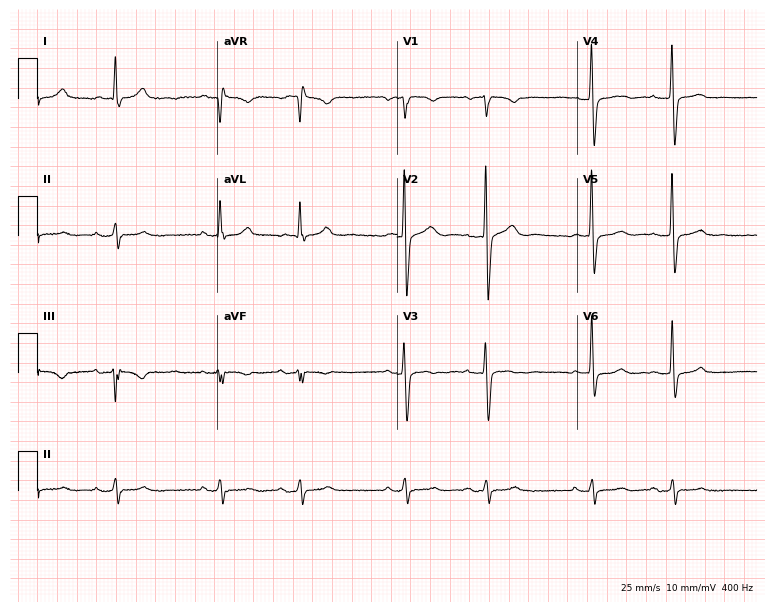
12-lead ECG from a 69-year-old male patient. Screened for six findings — first-degree AV block, right bundle branch block (RBBB), left bundle branch block (LBBB), sinus bradycardia, atrial fibrillation (AF), sinus tachycardia — none is recorded. Other findings, if any, are not listed.